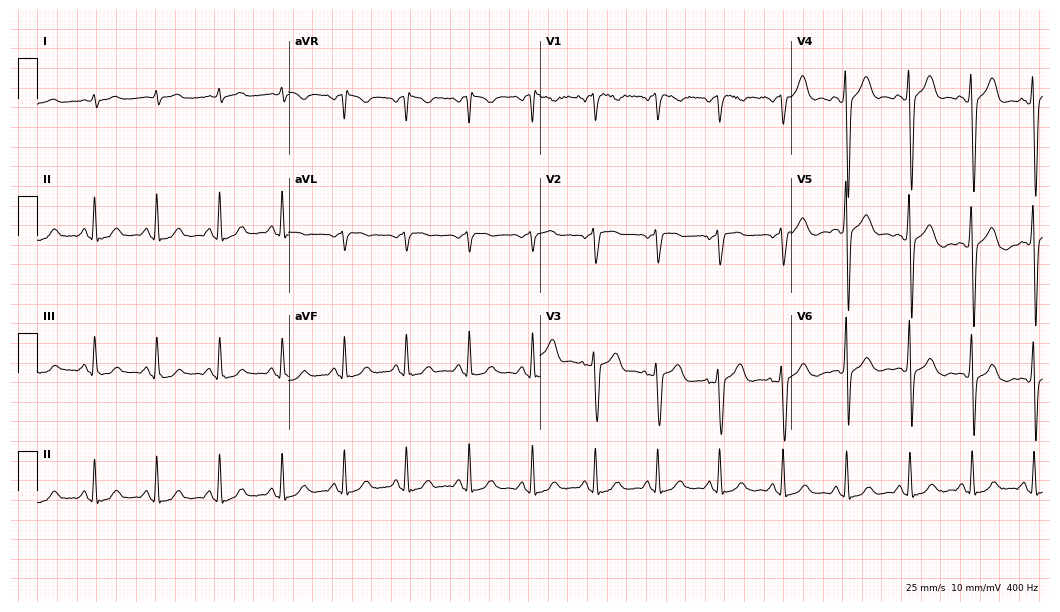
Resting 12-lead electrocardiogram (10.2-second recording at 400 Hz). Patient: a 62-year-old male. None of these six findings is recorded: first-degree AV block, right bundle branch block (RBBB), left bundle branch block (LBBB), sinus bradycardia, atrial fibrillation (AF), sinus tachycardia. Only these six findings were labelled.